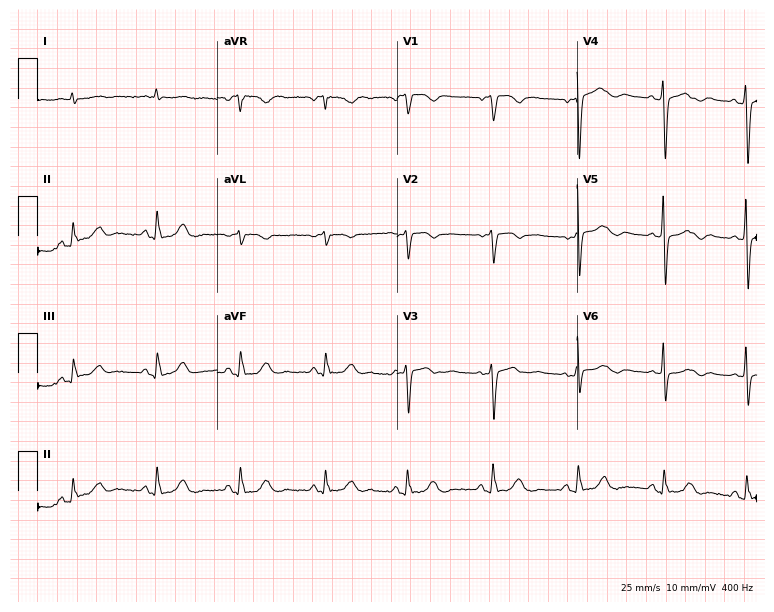
Resting 12-lead electrocardiogram. Patient: a female, 74 years old. None of these six findings is recorded: first-degree AV block, right bundle branch block, left bundle branch block, sinus bradycardia, atrial fibrillation, sinus tachycardia. Other findings, if any, are not listed.